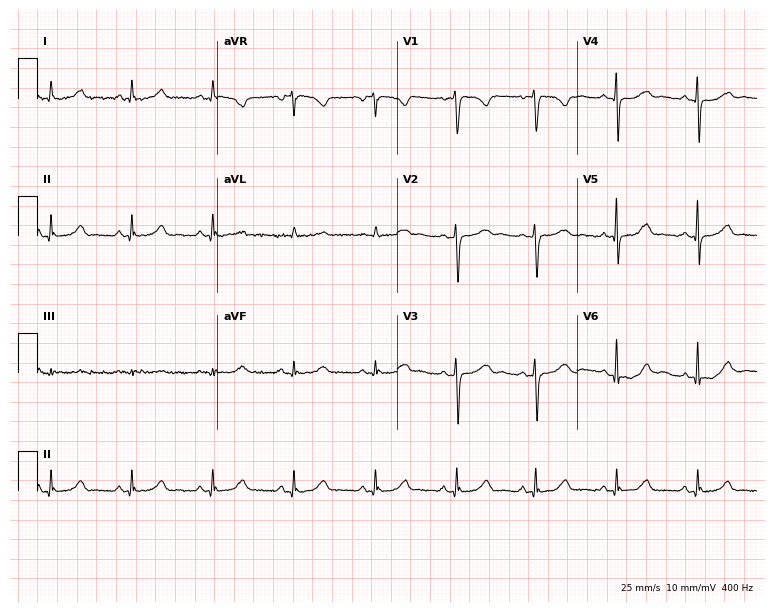
12-lead ECG from a 51-year-old female patient. Labelled as a normal ECG.